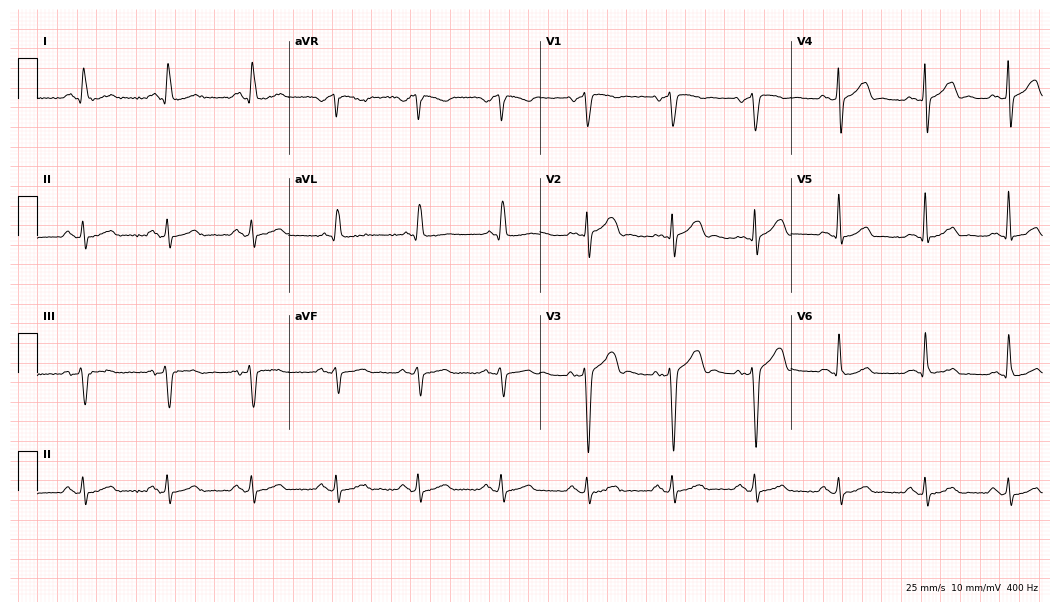
12-lead ECG (10.2-second recording at 400 Hz) from a male, 53 years old. Screened for six findings — first-degree AV block, right bundle branch block (RBBB), left bundle branch block (LBBB), sinus bradycardia, atrial fibrillation (AF), sinus tachycardia — none is recorded. Findings outside these six are not listed.